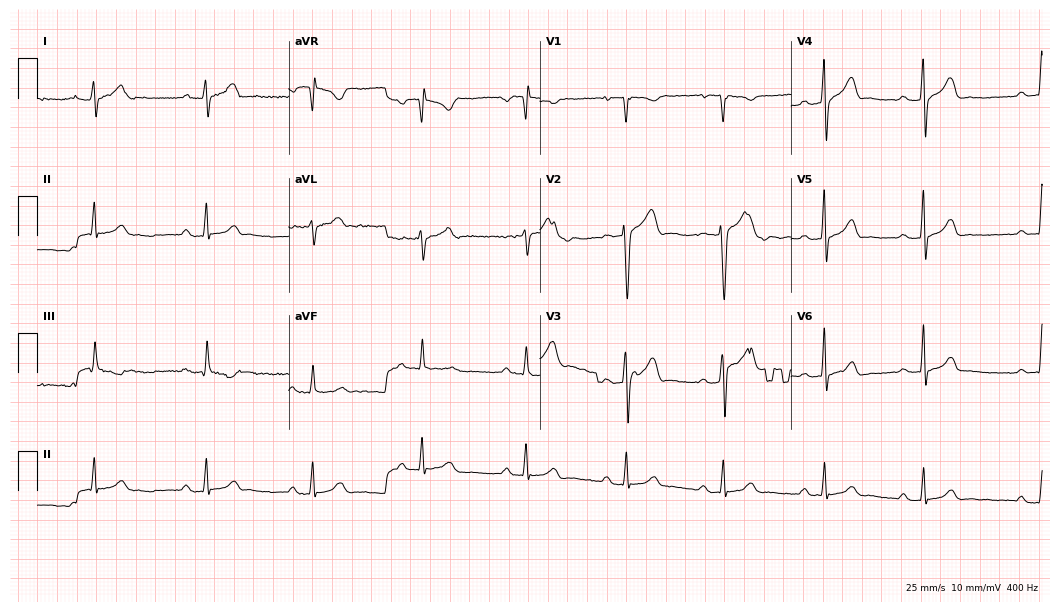
ECG (10.2-second recording at 400 Hz) — a 26-year-old male. Findings include first-degree AV block.